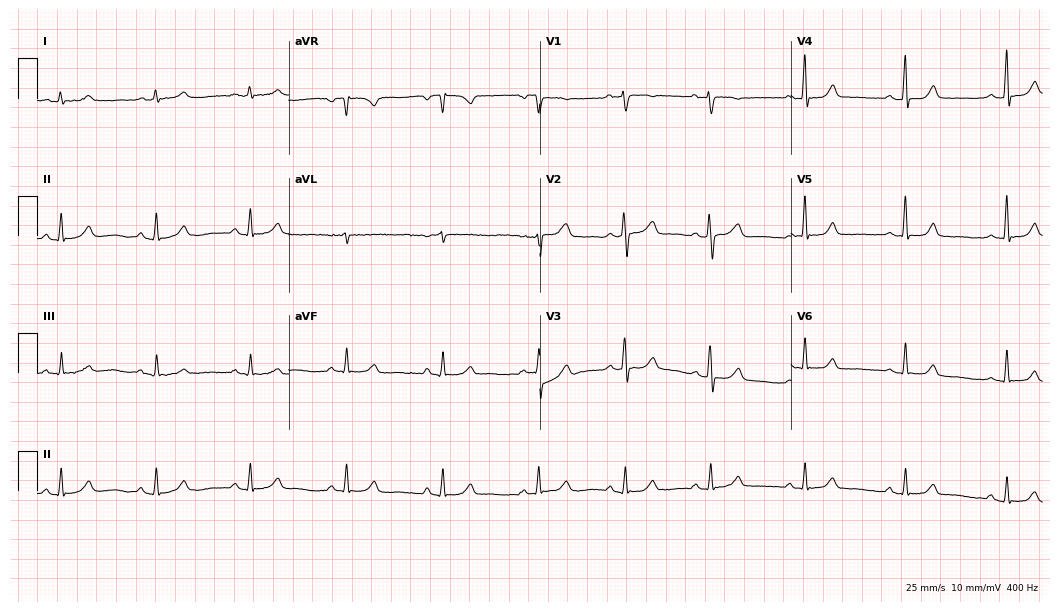
ECG (10.2-second recording at 400 Hz) — a female patient, 57 years old. Labelled as a normal ECG.